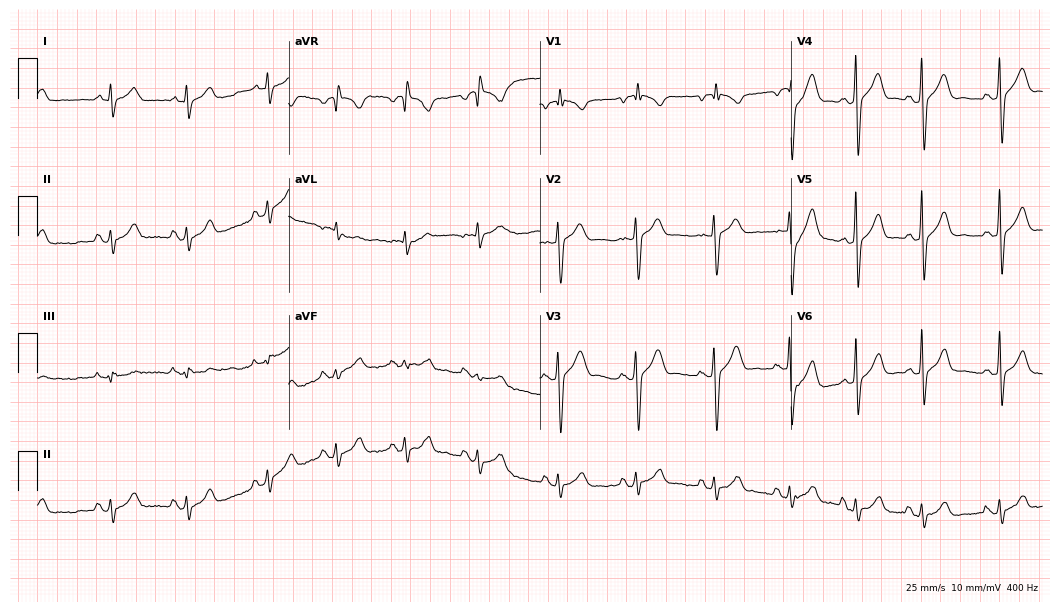
ECG (10.2-second recording at 400 Hz) — a male patient, 24 years old. Screened for six findings — first-degree AV block, right bundle branch block (RBBB), left bundle branch block (LBBB), sinus bradycardia, atrial fibrillation (AF), sinus tachycardia — none is recorded. Findings outside these six are not listed.